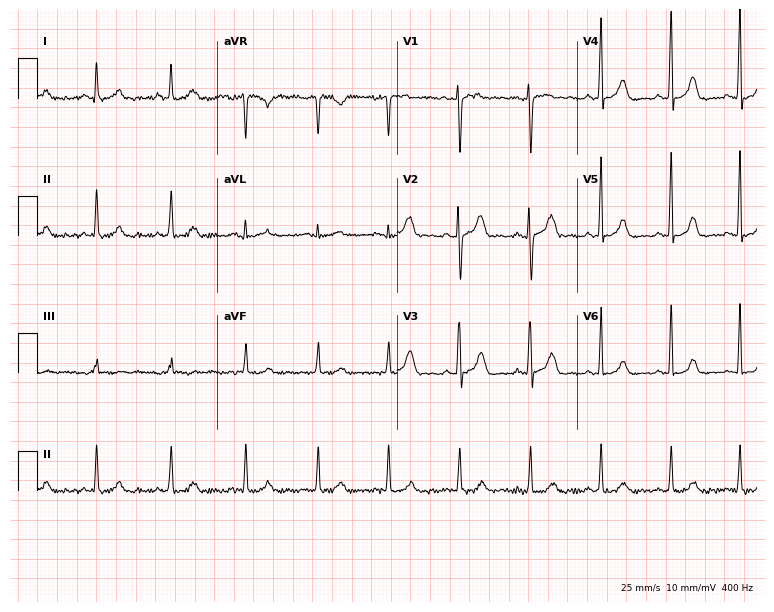
Standard 12-lead ECG recorded from a 35-year-old female patient. Read as a normal ECG.